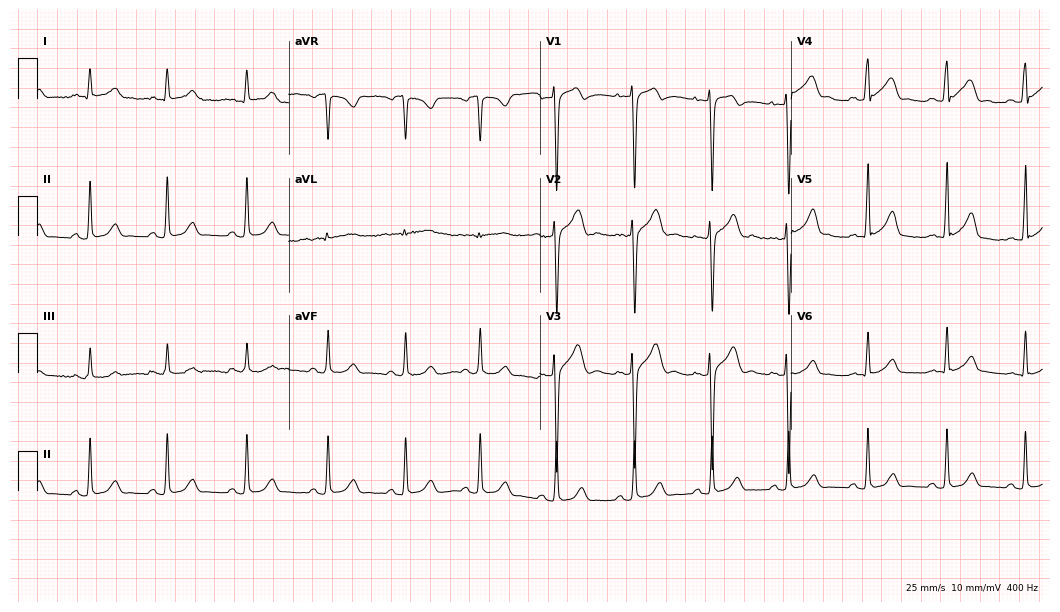
Resting 12-lead electrocardiogram. Patient: a 20-year-old male. None of these six findings is recorded: first-degree AV block, right bundle branch block, left bundle branch block, sinus bradycardia, atrial fibrillation, sinus tachycardia. Only these six findings were labelled.